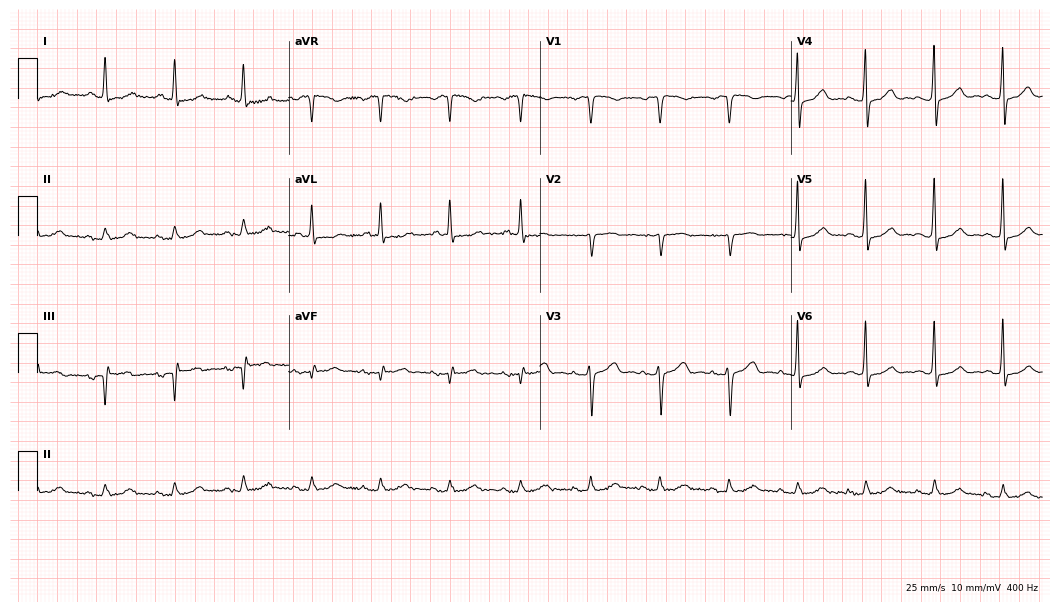
Resting 12-lead electrocardiogram. Patient: a woman, 81 years old. Read as a normal ECG.